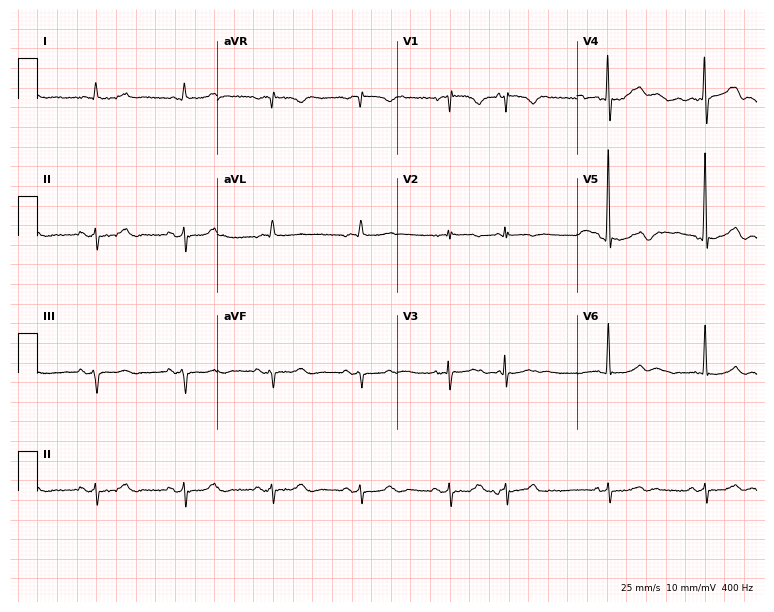
Resting 12-lead electrocardiogram (7.3-second recording at 400 Hz). Patient: an 82-year-old man. None of these six findings is recorded: first-degree AV block, right bundle branch block, left bundle branch block, sinus bradycardia, atrial fibrillation, sinus tachycardia.